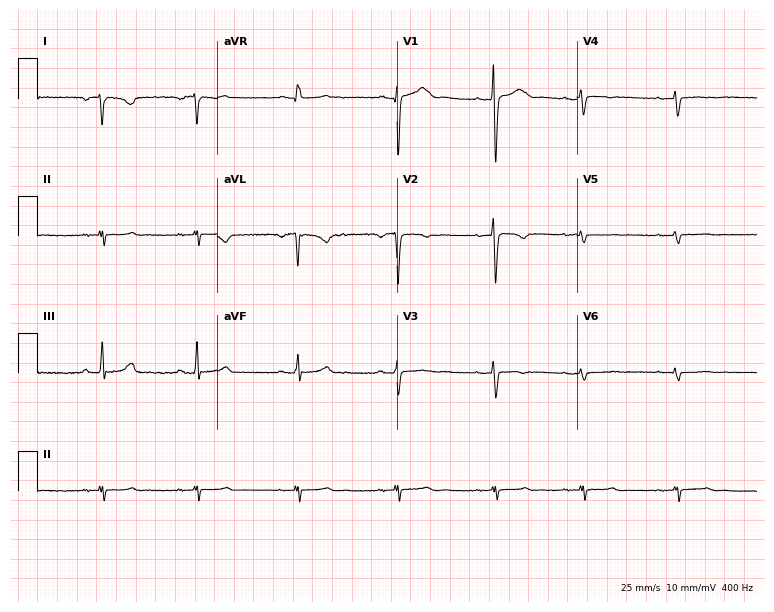
Resting 12-lead electrocardiogram (7.3-second recording at 400 Hz). Patient: a female, 23 years old. None of these six findings is recorded: first-degree AV block, right bundle branch block (RBBB), left bundle branch block (LBBB), sinus bradycardia, atrial fibrillation (AF), sinus tachycardia. Findings outside these six are not listed.